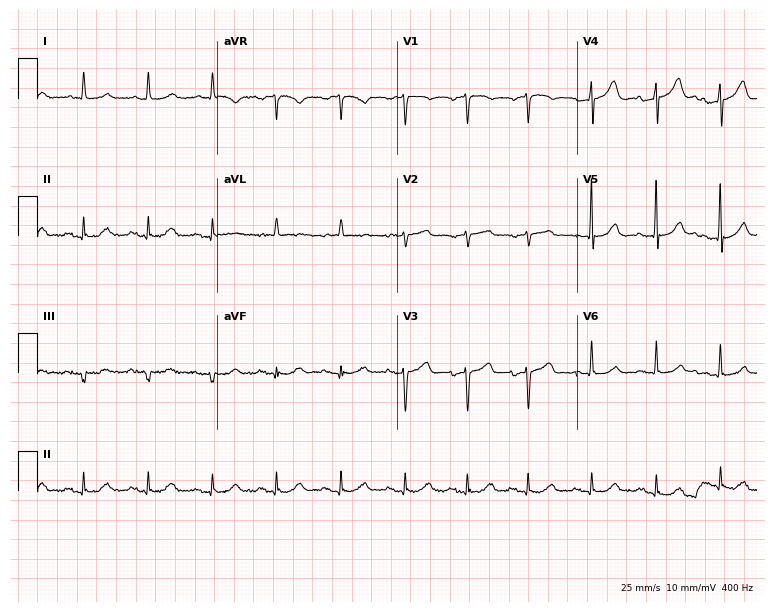
12-lead ECG from a female, 83 years old. Screened for six findings — first-degree AV block, right bundle branch block, left bundle branch block, sinus bradycardia, atrial fibrillation, sinus tachycardia — none is recorded. Findings outside these six are not listed.